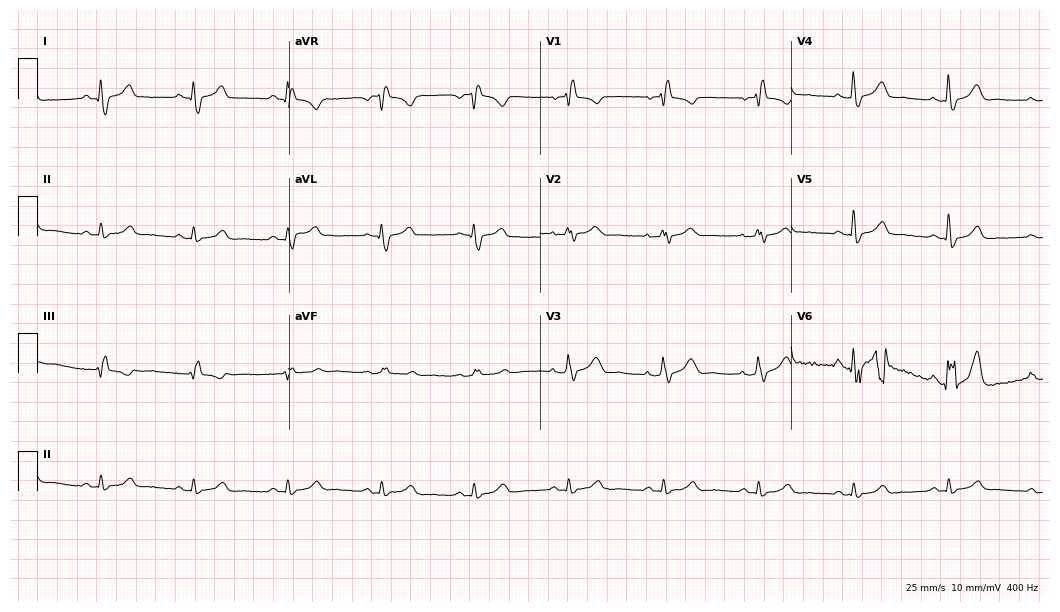
ECG (10.2-second recording at 400 Hz) — a 53-year-old female. Screened for six findings — first-degree AV block, right bundle branch block (RBBB), left bundle branch block (LBBB), sinus bradycardia, atrial fibrillation (AF), sinus tachycardia — none is recorded.